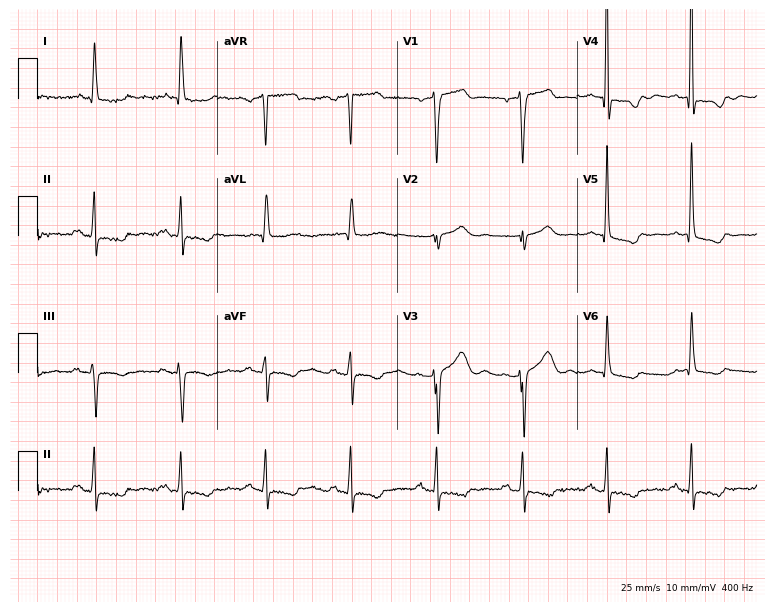
12-lead ECG (7.3-second recording at 400 Hz) from a male, 61 years old. Screened for six findings — first-degree AV block, right bundle branch block, left bundle branch block, sinus bradycardia, atrial fibrillation, sinus tachycardia — none is recorded.